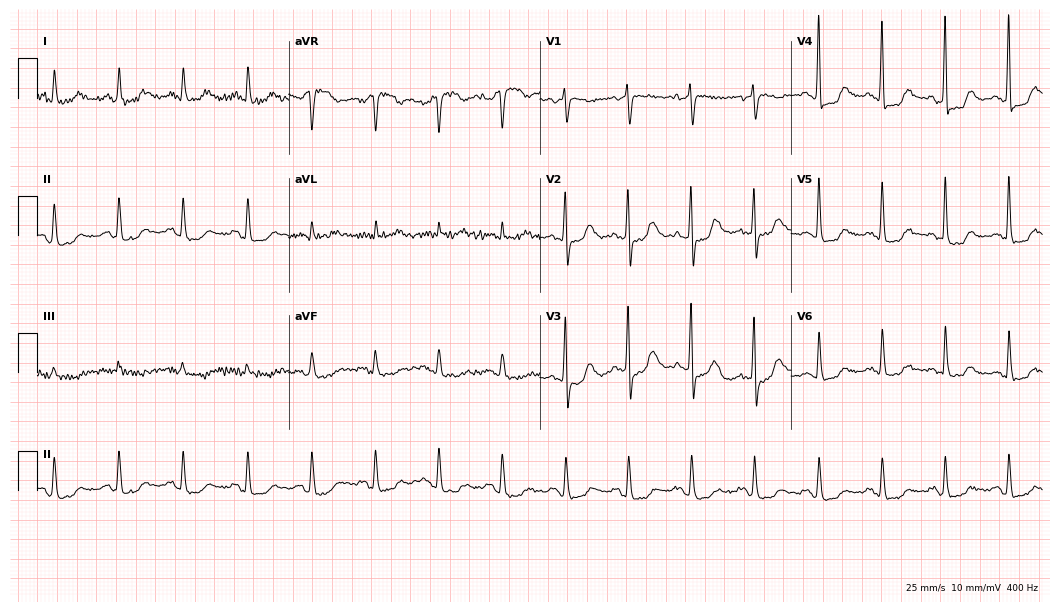
ECG — a 71-year-old female patient. Screened for six findings — first-degree AV block, right bundle branch block, left bundle branch block, sinus bradycardia, atrial fibrillation, sinus tachycardia — none is recorded. Other findings, if any, are not listed.